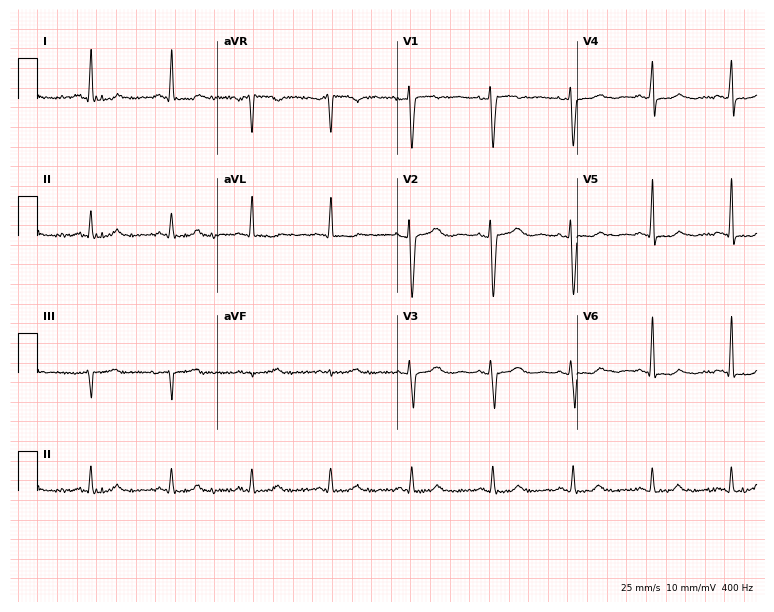
ECG (7.3-second recording at 400 Hz) — a 46-year-old female. Labelled as a normal ECG.